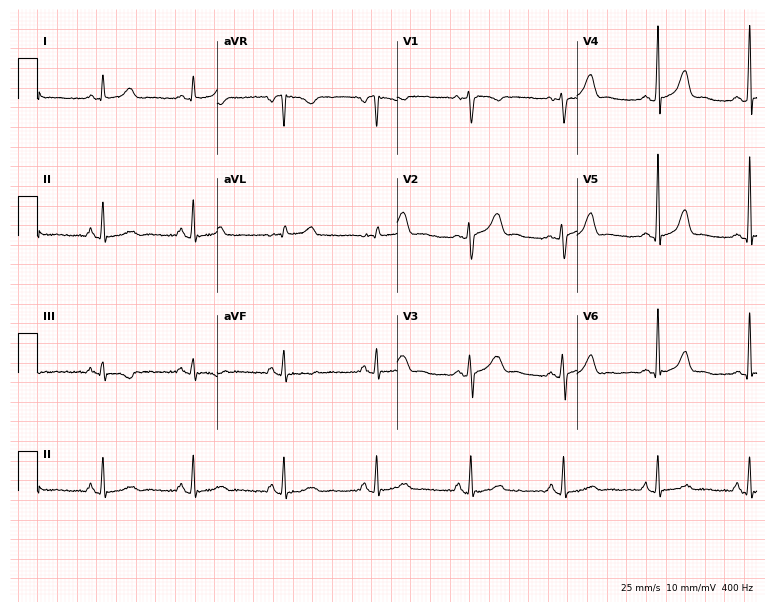
Electrocardiogram (7.3-second recording at 400 Hz), a 35-year-old woman. Of the six screened findings (first-degree AV block, right bundle branch block, left bundle branch block, sinus bradycardia, atrial fibrillation, sinus tachycardia), none is recorded.